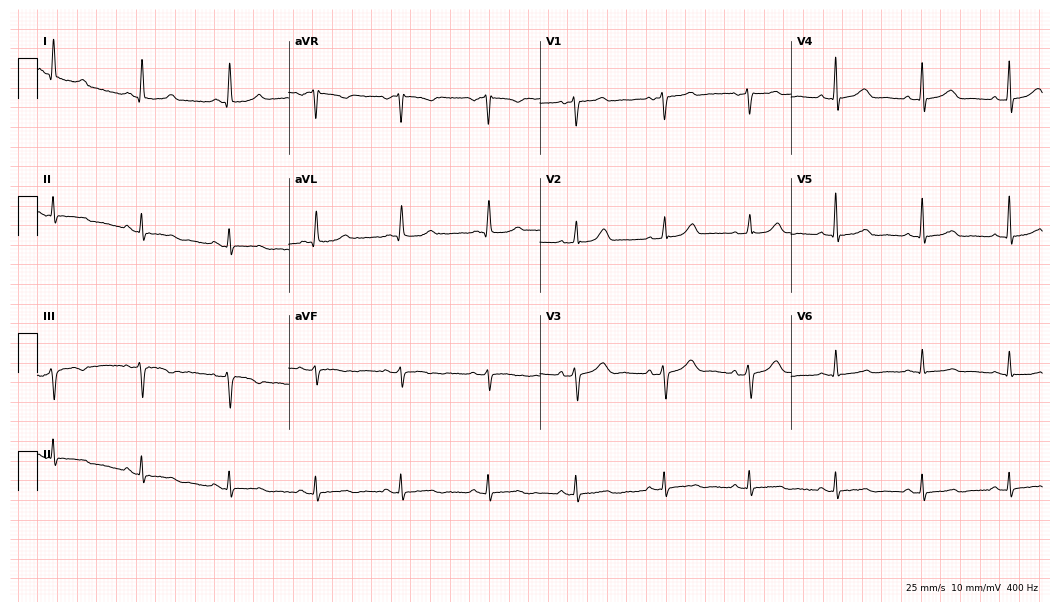
Electrocardiogram (10.2-second recording at 400 Hz), a female patient, 60 years old. Overall reading on record: normal ECG.